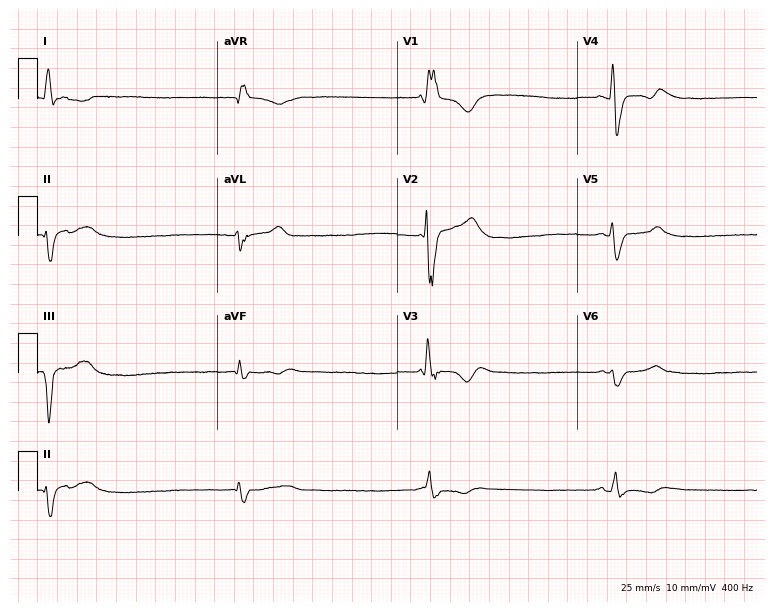
Standard 12-lead ECG recorded from a 32-year-old male (7.3-second recording at 400 Hz). The tracing shows right bundle branch block (RBBB), sinus bradycardia (a sinus rate of 50 beats per minute or less).